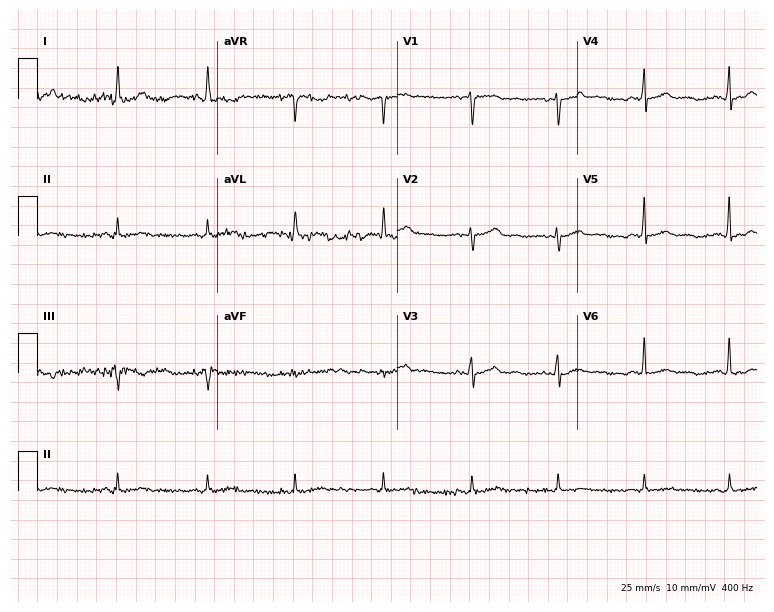
ECG — a woman, 52 years old. Screened for six findings — first-degree AV block, right bundle branch block (RBBB), left bundle branch block (LBBB), sinus bradycardia, atrial fibrillation (AF), sinus tachycardia — none is recorded. Other findings, if any, are not listed.